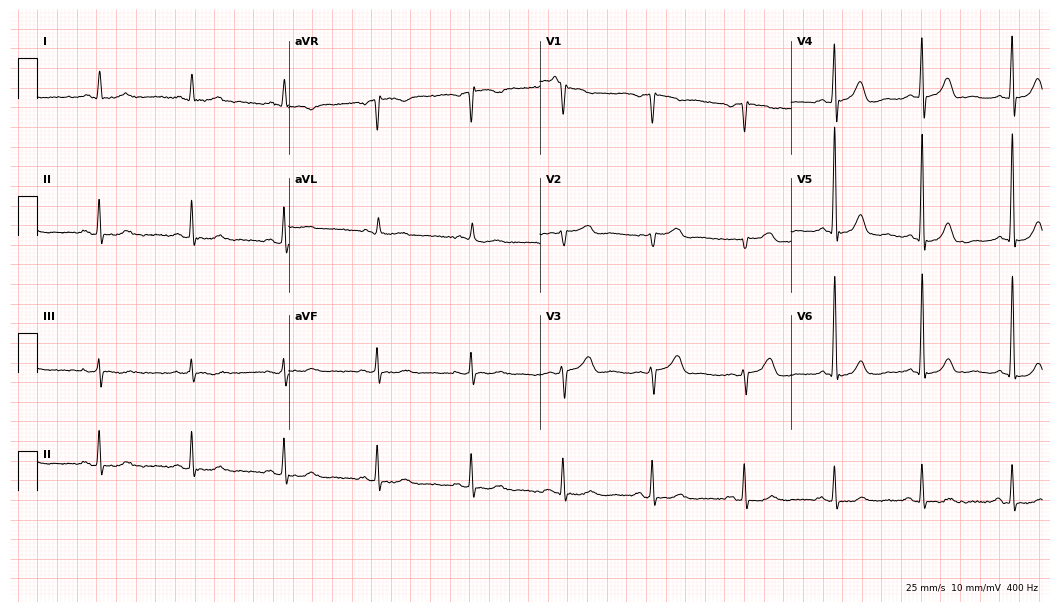
12-lead ECG from an 85-year-old man (10.2-second recording at 400 Hz). No first-degree AV block, right bundle branch block (RBBB), left bundle branch block (LBBB), sinus bradycardia, atrial fibrillation (AF) or sinus tachycardia recorded for this tracing. Findings outside these six are not listed.